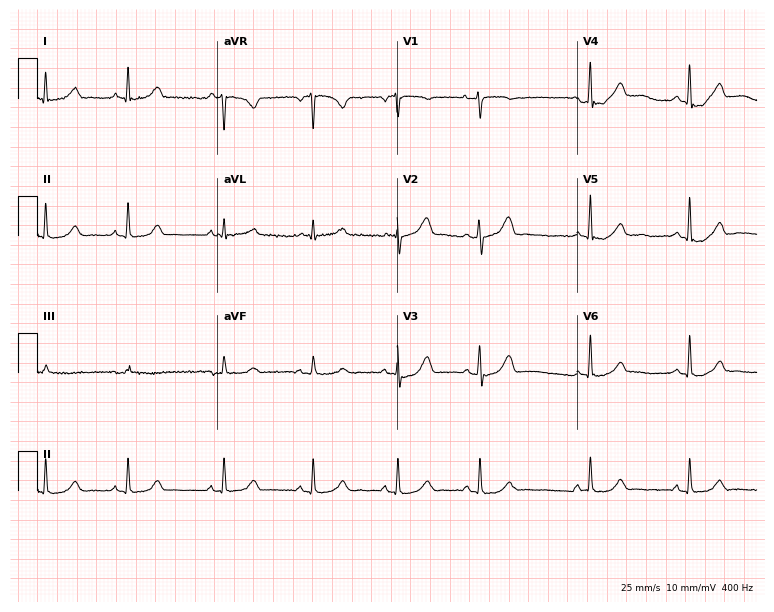
12-lead ECG (7.3-second recording at 400 Hz) from a 51-year-old female patient. Screened for six findings — first-degree AV block, right bundle branch block (RBBB), left bundle branch block (LBBB), sinus bradycardia, atrial fibrillation (AF), sinus tachycardia — none is recorded. Findings outside these six are not listed.